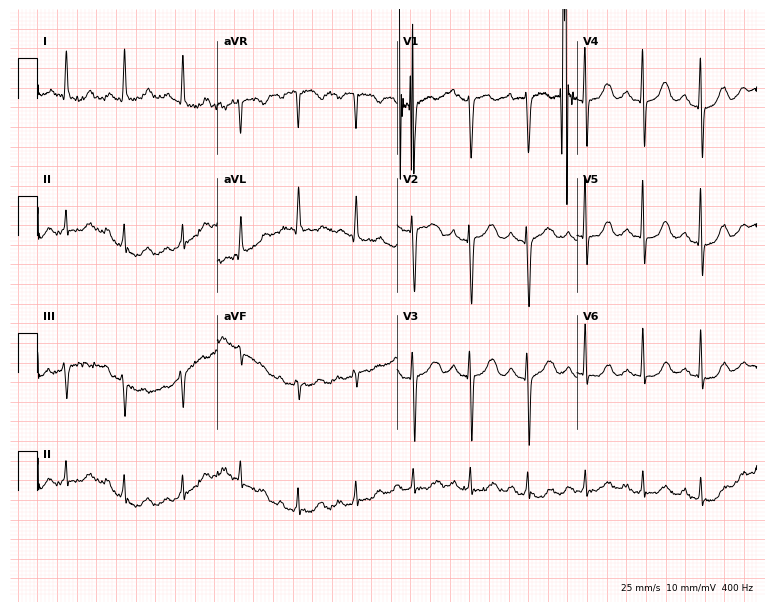
ECG (7.3-second recording at 400 Hz) — a female, 57 years old. Findings include sinus tachycardia (a sinus rate of 100 beats per minute or more).